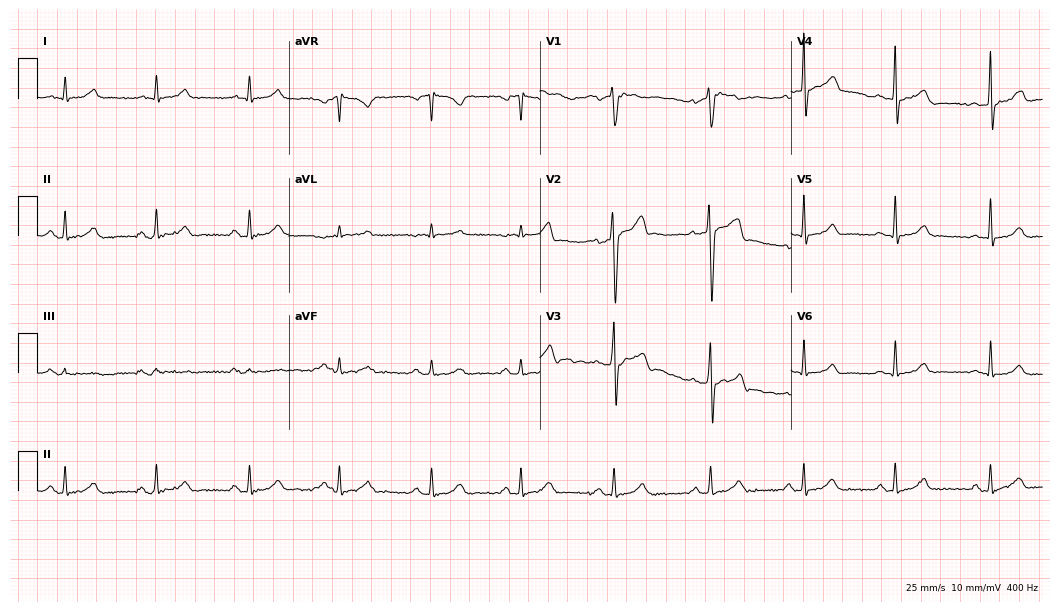
Standard 12-lead ECG recorded from a male patient, 41 years old (10.2-second recording at 400 Hz). None of these six findings is recorded: first-degree AV block, right bundle branch block (RBBB), left bundle branch block (LBBB), sinus bradycardia, atrial fibrillation (AF), sinus tachycardia.